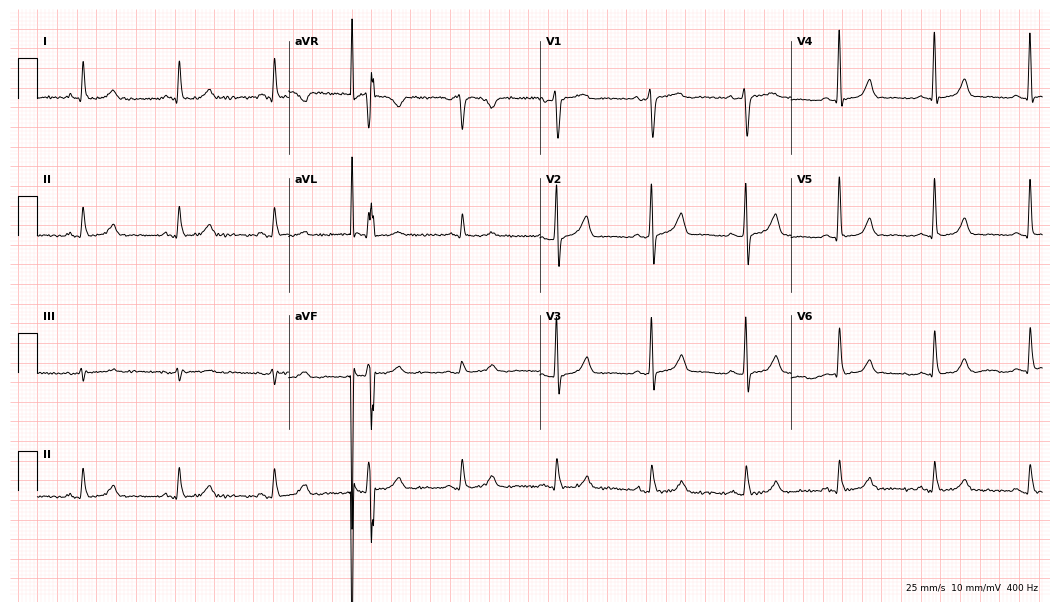
12-lead ECG from a 66-year-old woman (10.2-second recording at 400 Hz). Recorded interpretation: within normal limits.